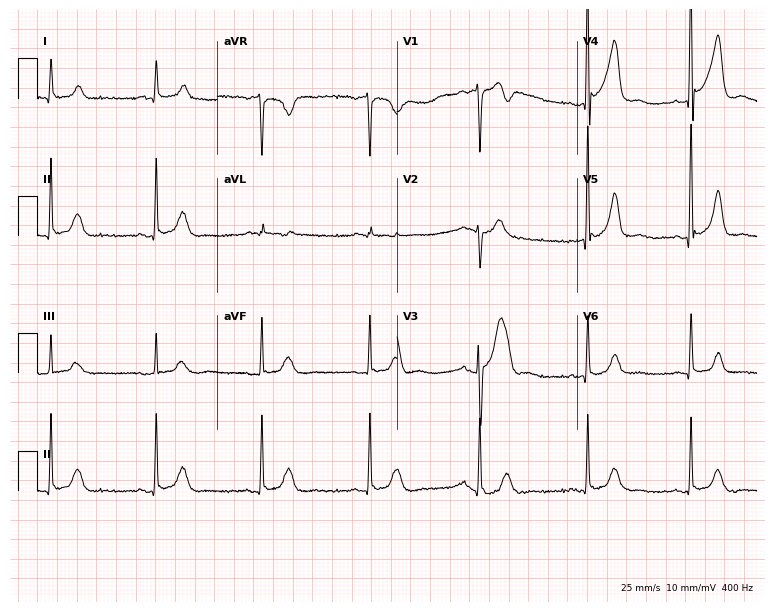
Resting 12-lead electrocardiogram (7.3-second recording at 400 Hz). Patient: a male, 61 years old. None of these six findings is recorded: first-degree AV block, right bundle branch block, left bundle branch block, sinus bradycardia, atrial fibrillation, sinus tachycardia.